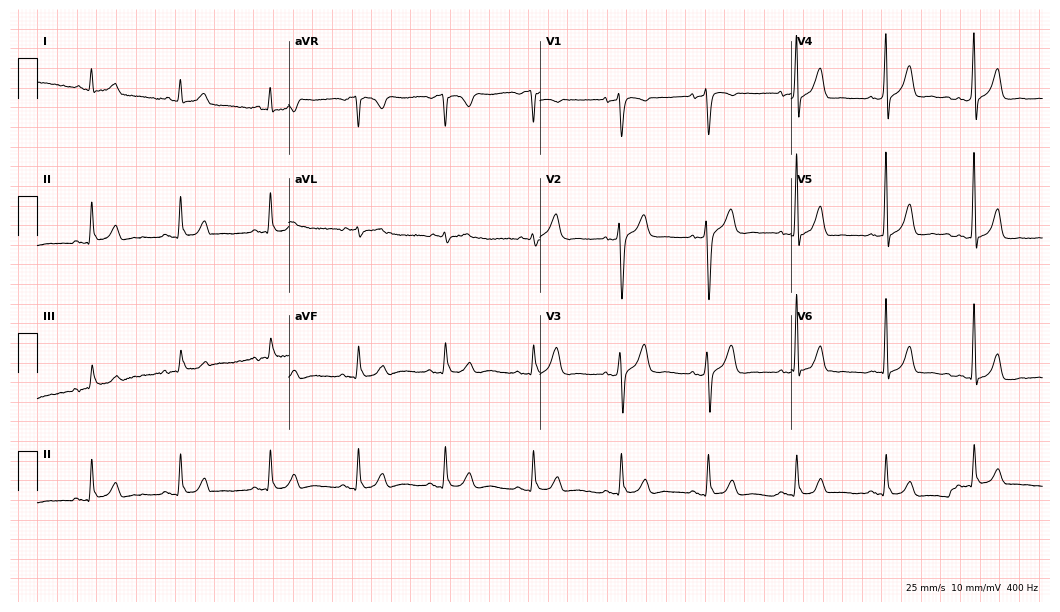
Electrocardiogram, a 50-year-old male. Overall reading on record: normal ECG.